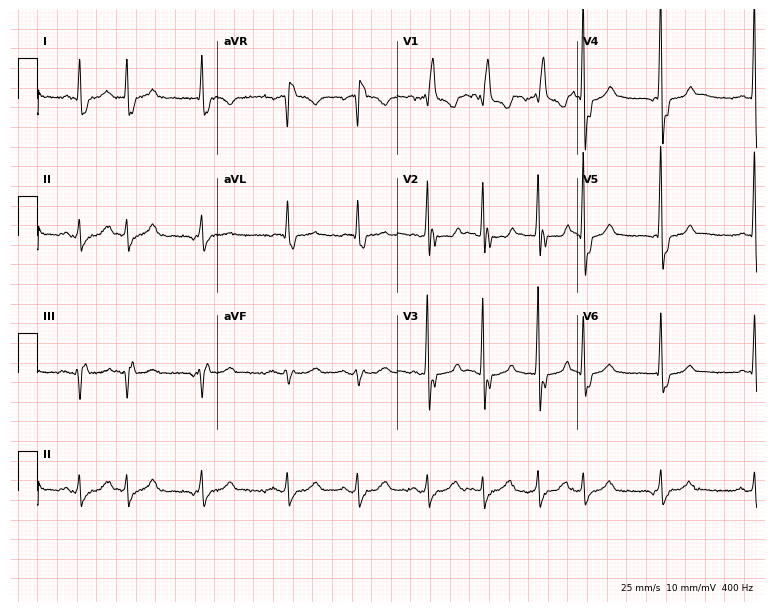
ECG (7.3-second recording at 400 Hz) — a 70-year-old man. Findings include right bundle branch block.